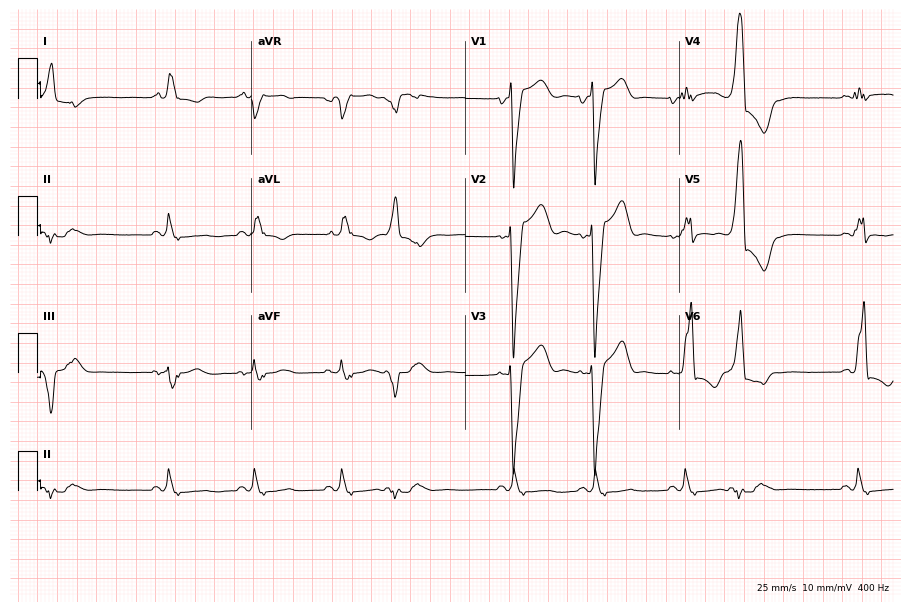
Electrocardiogram (8.7-second recording at 400 Hz), a 74-year-old female. Of the six screened findings (first-degree AV block, right bundle branch block, left bundle branch block, sinus bradycardia, atrial fibrillation, sinus tachycardia), none is recorded.